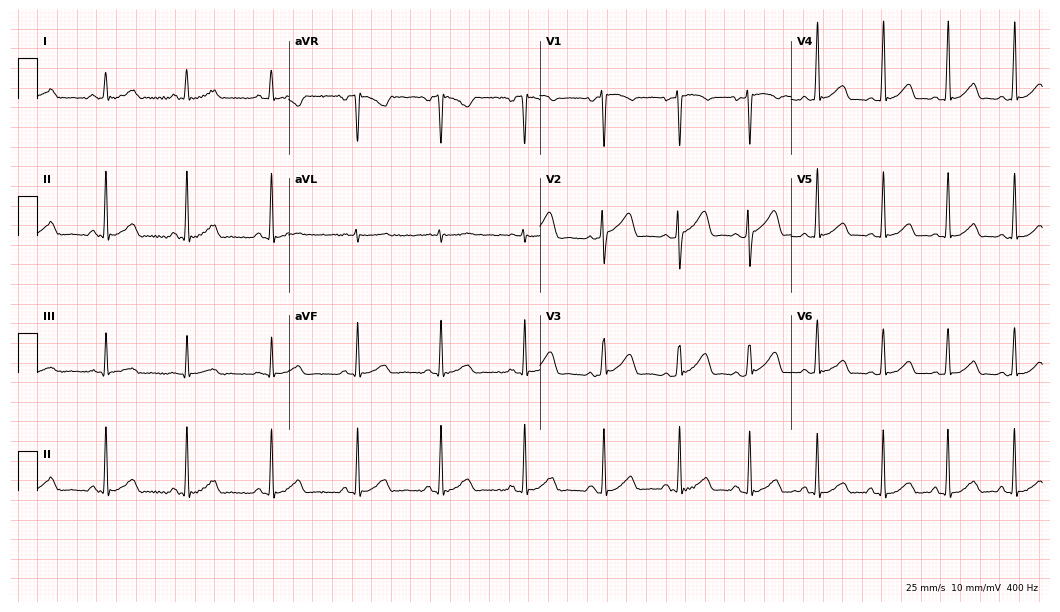
Electrocardiogram, a woman, 35 years old. Overall reading on record: normal ECG.